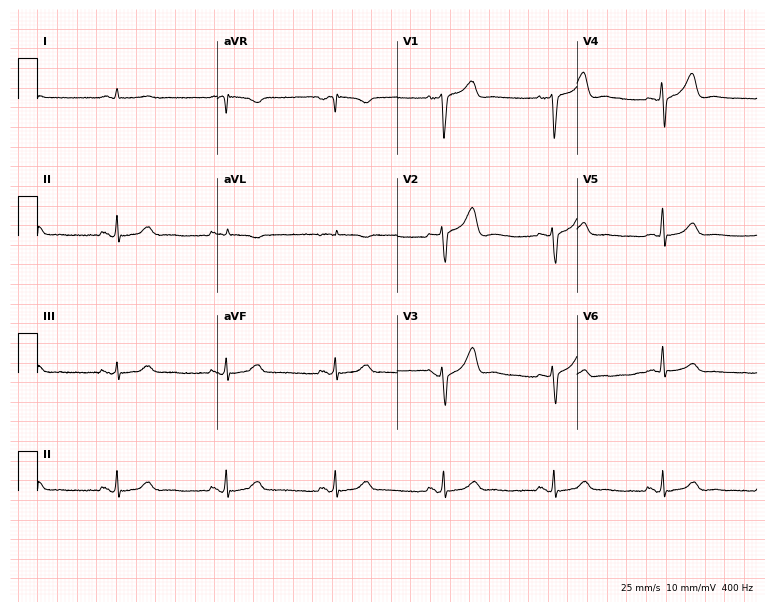
12-lead ECG from a man, 56 years old (7.3-second recording at 400 Hz). No first-degree AV block, right bundle branch block (RBBB), left bundle branch block (LBBB), sinus bradycardia, atrial fibrillation (AF) or sinus tachycardia recorded for this tracing.